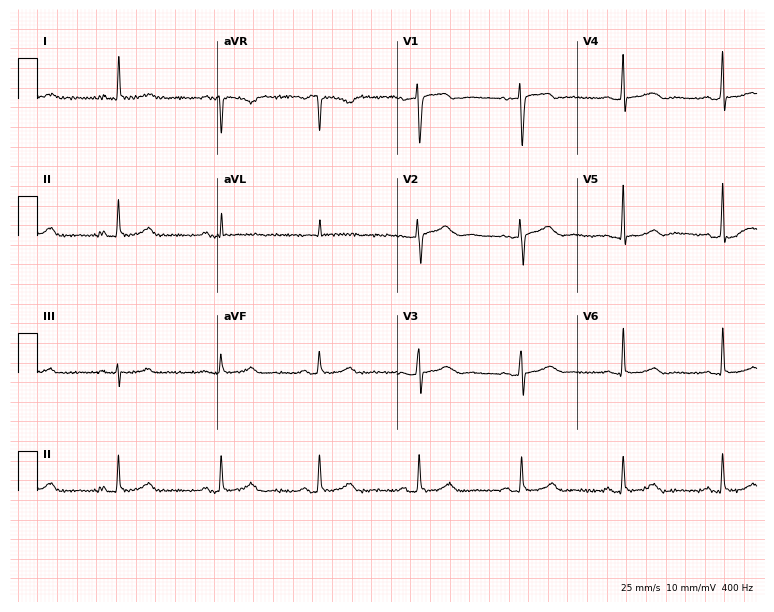
Standard 12-lead ECG recorded from a female patient, 53 years old (7.3-second recording at 400 Hz). None of these six findings is recorded: first-degree AV block, right bundle branch block, left bundle branch block, sinus bradycardia, atrial fibrillation, sinus tachycardia. Other findings, if any, are not listed.